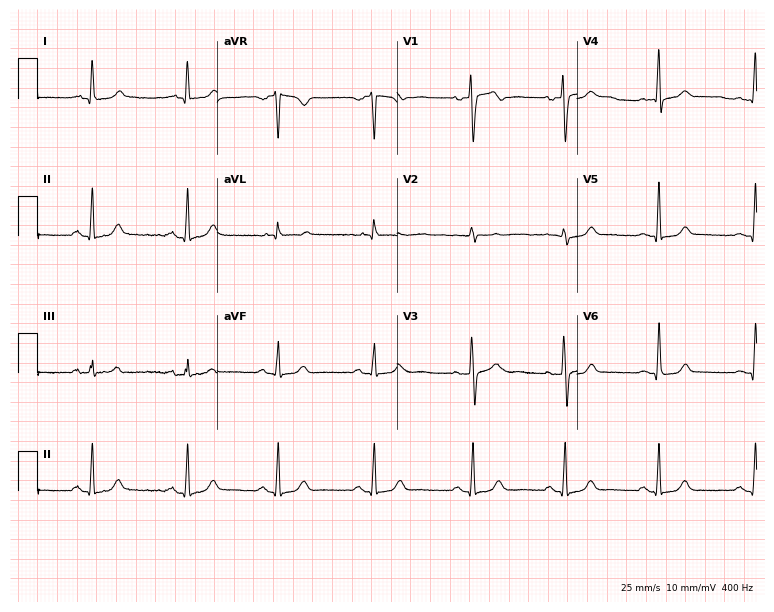
12-lead ECG from a 39-year-old female. Screened for six findings — first-degree AV block, right bundle branch block, left bundle branch block, sinus bradycardia, atrial fibrillation, sinus tachycardia — none is recorded.